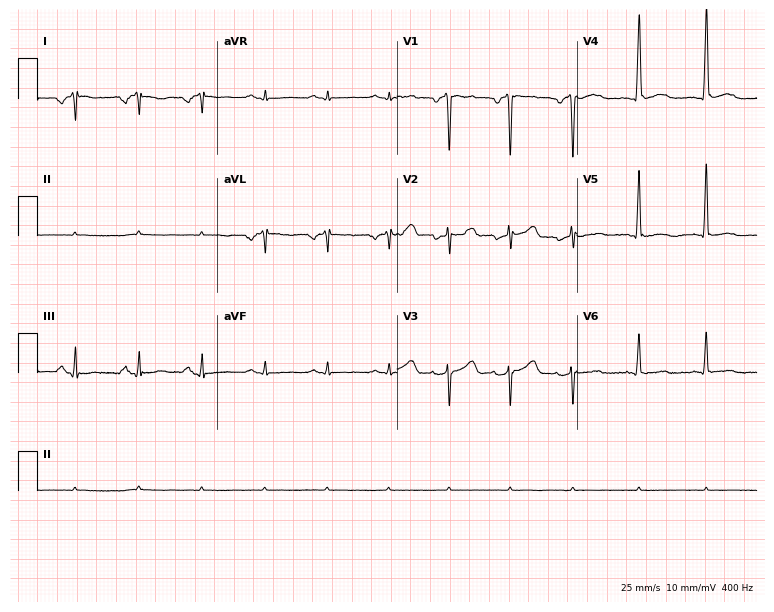
Resting 12-lead electrocardiogram (7.3-second recording at 400 Hz). Patient: a woman, 44 years old. None of these six findings is recorded: first-degree AV block, right bundle branch block, left bundle branch block, sinus bradycardia, atrial fibrillation, sinus tachycardia.